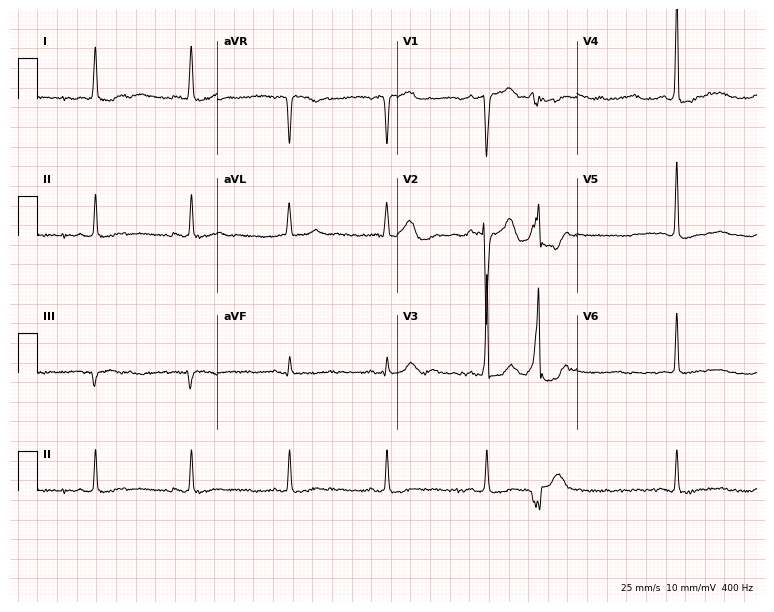
Electrocardiogram (7.3-second recording at 400 Hz), a man, 84 years old. Of the six screened findings (first-degree AV block, right bundle branch block, left bundle branch block, sinus bradycardia, atrial fibrillation, sinus tachycardia), none is recorded.